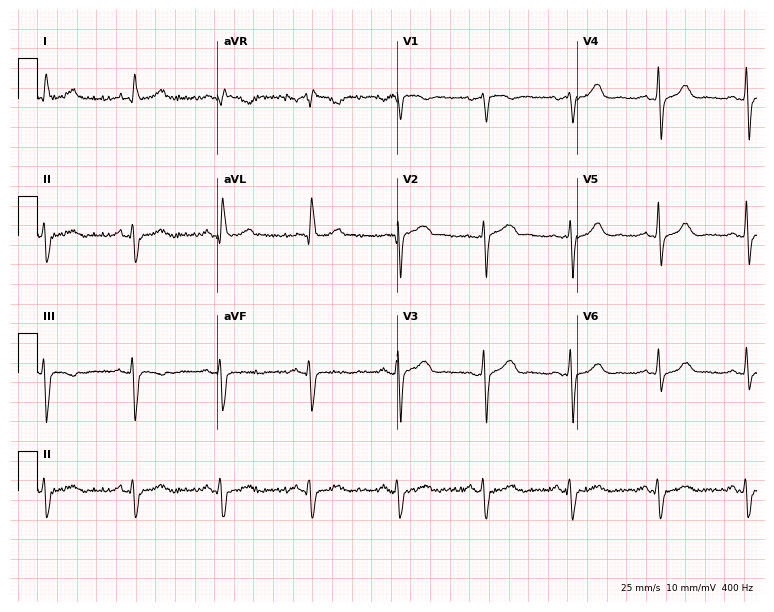
Electrocardiogram (7.3-second recording at 400 Hz), a 78-year-old male. Of the six screened findings (first-degree AV block, right bundle branch block (RBBB), left bundle branch block (LBBB), sinus bradycardia, atrial fibrillation (AF), sinus tachycardia), none is recorded. Findings outside these six are not listed.